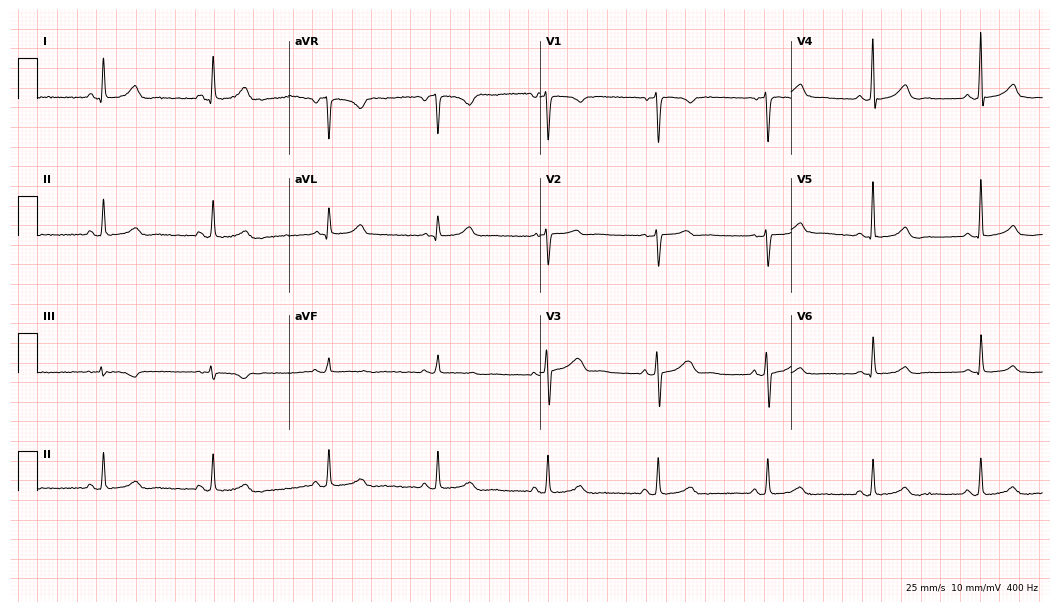
12-lead ECG from a 34-year-old female (10.2-second recording at 400 Hz). No first-degree AV block, right bundle branch block, left bundle branch block, sinus bradycardia, atrial fibrillation or sinus tachycardia recorded for this tracing.